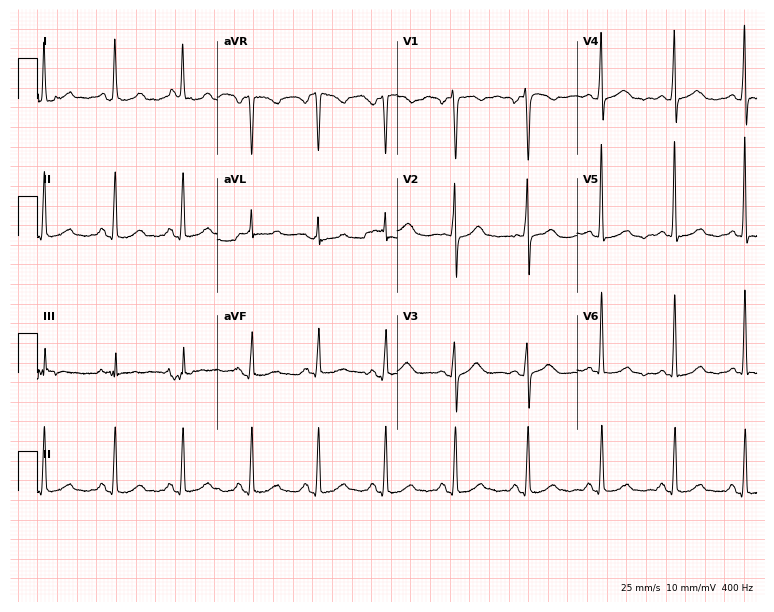
Standard 12-lead ECG recorded from a female, 37 years old (7.3-second recording at 400 Hz). Read as a normal ECG.